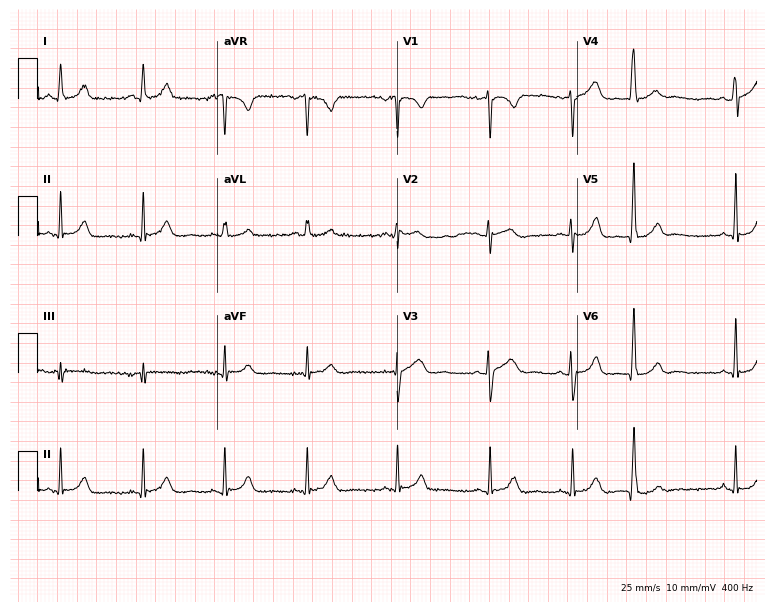
12-lead ECG from a woman, 26 years old (7.3-second recording at 400 Hz). Recorded interpretation: within normal limits.